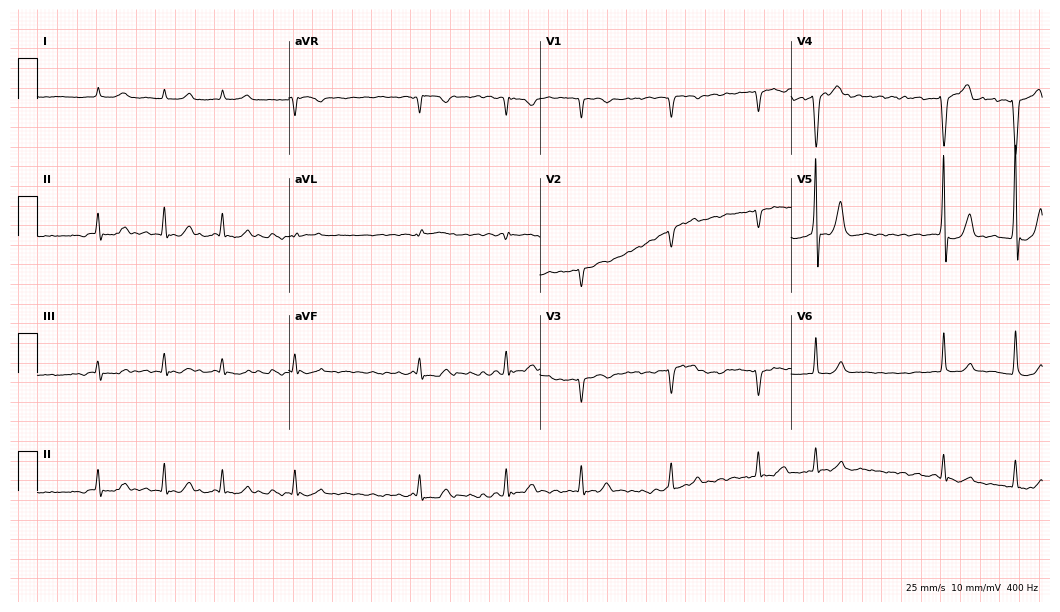
Electrocardiogram (10.2-second recording at 400 Hz), a male patient, 82 years old. Interpretation includes atrial fibrillation.